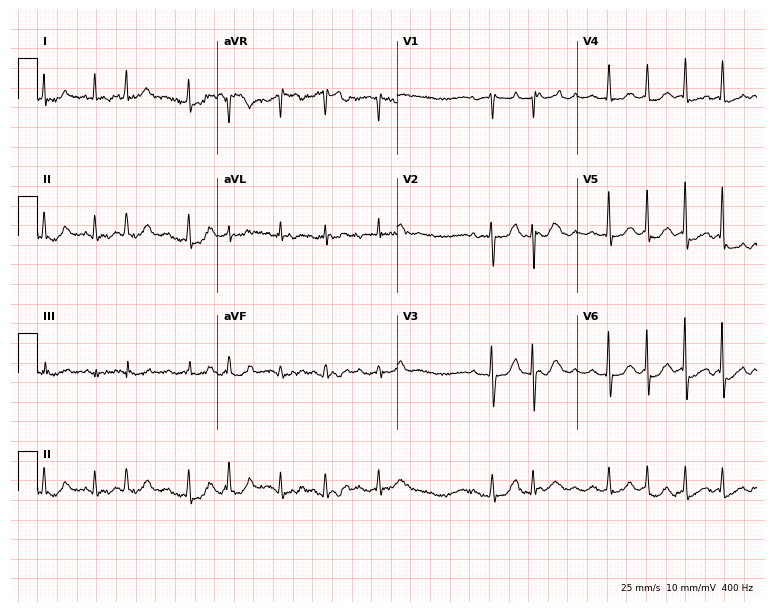
12-lead ECG from a female patient, 83 years old. Shows sinus tachycardia (a sinus rate of 100 beats per minute or more).